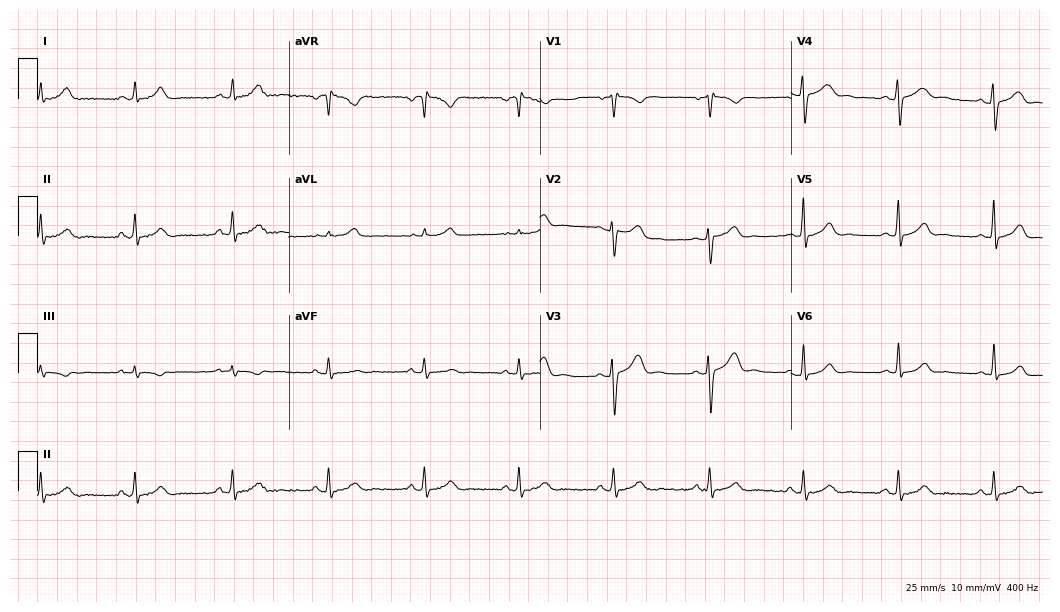
ECG (10.2-second recording at 400 Hz) — a female patient, 32 years old. Screened for six findings — first-degree AV block, right bundle branch block (RBBB), left bundle branch block (LBBB), sinus bradycardia, atrial fibrillation (AF), sinus tachycardia — none is recorded. Other findings, if any, are not listed.